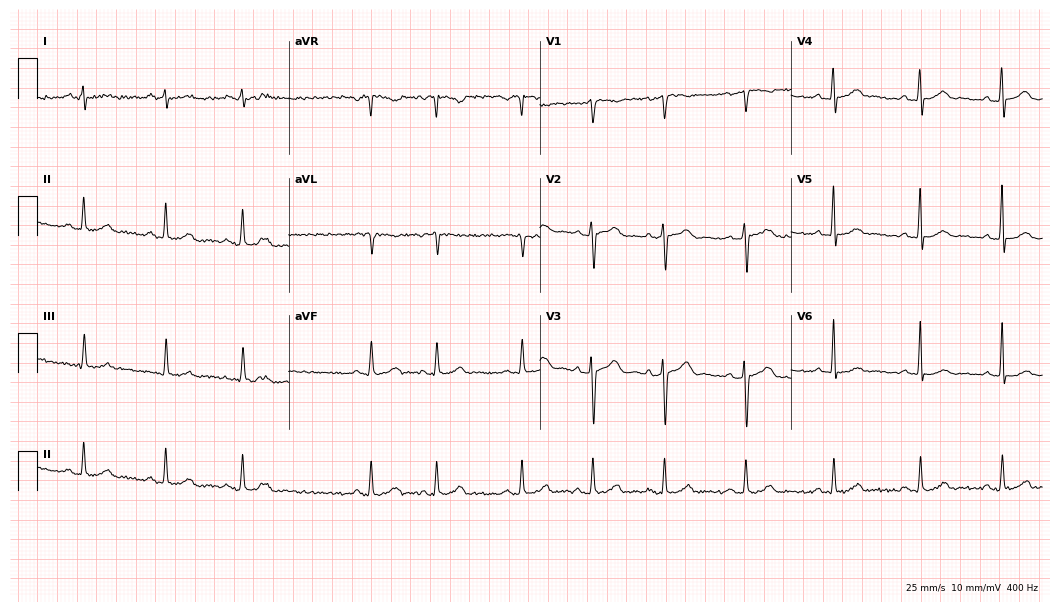
Standard 12-lead ECG recorded from a woman, 24 years old. None of these six findings is recorded: first-degree AV block, right bundle branch block, left bundle branch block, sinus bradycardia, atrial fibrillation, sinus tachycardia. Findings outside these six are not listed.